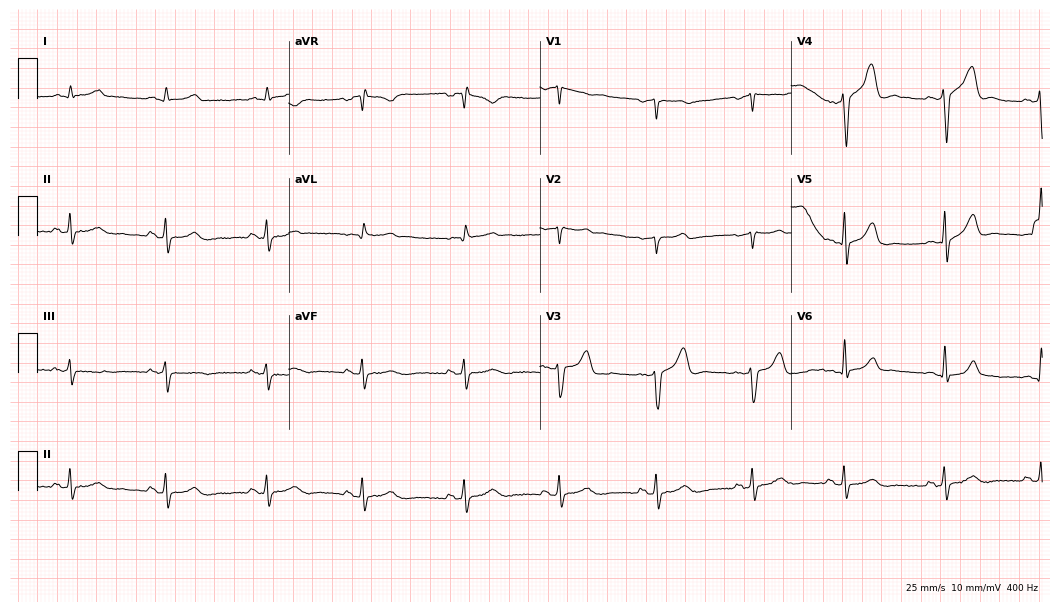
ECG (10.2-second recording at 400 Hz) — a male patient, 44 years old. Labelled as a normal ECG.